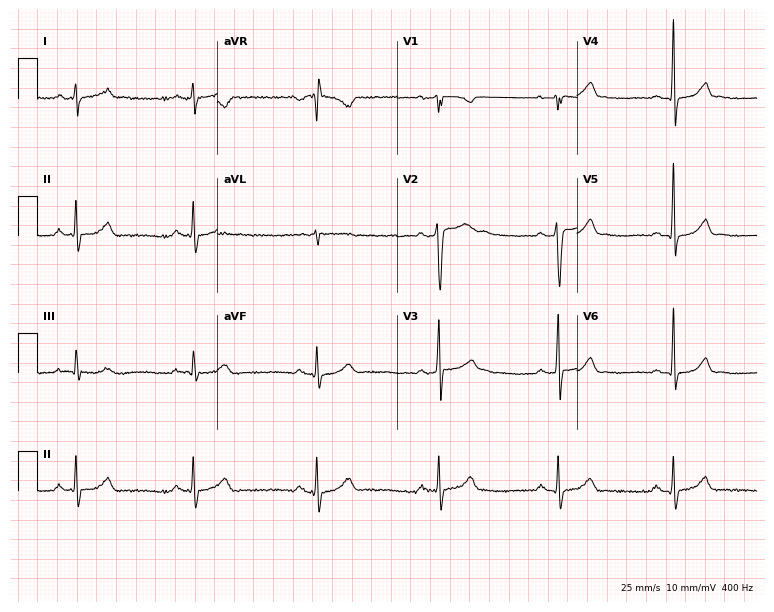
ECG (7.3-second recording at 400 Hz) — a 23-year-old male patient. Screened for six findings — first-degree AV block, right bundle branch block (RBBB), left bundle branch block (LBBB), sinus bradycardia, atrial fibrillation (AF), sinus tachycardia — none is recorded. Other findings, if any, are not listed.